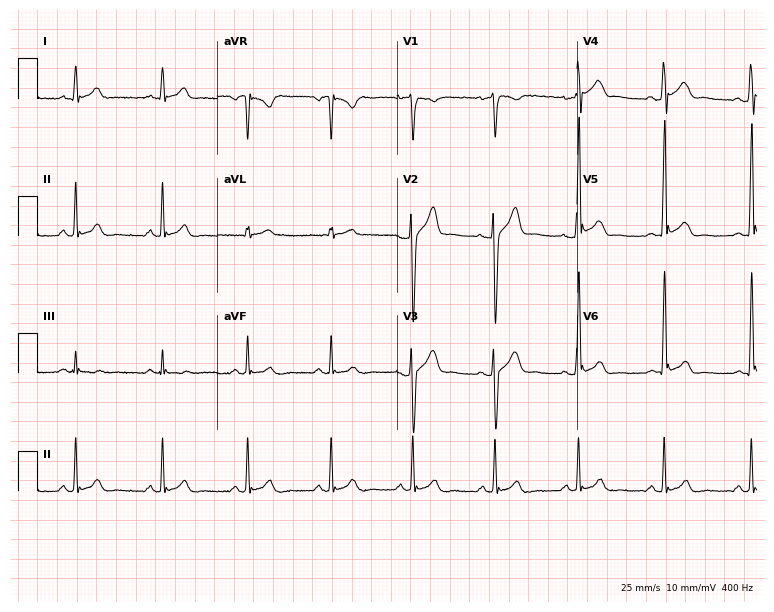
12-lead ECG from a male, 29 years old. No first-degree AV block, right bundle branch block, left bundle branch block, sinus bradycardia, atrial fibrillation or sinus tachycardia recorded for this tracing. Findings outside these six are not listed.